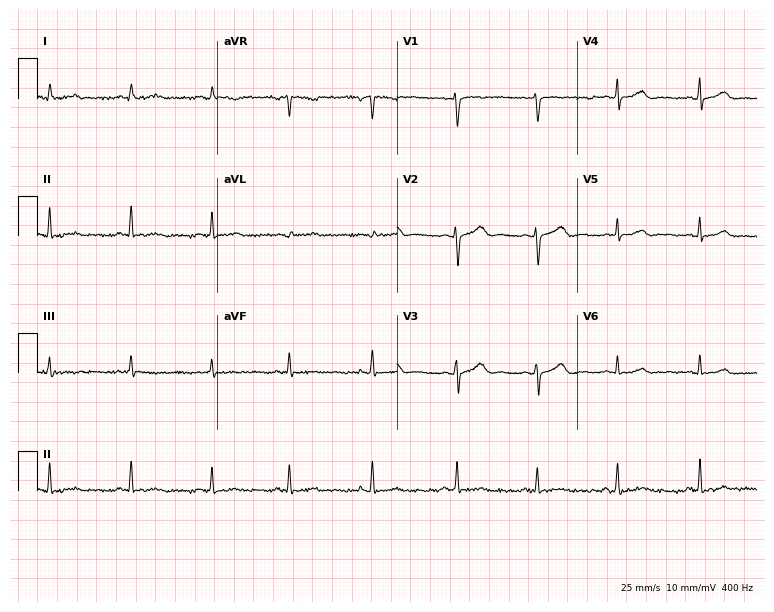
12-lead ECG from a female patient, 26 years old (7.3-second recording at 400 Hz). No first-degree AV block, right bundle branch block, left bundle branch block, sinus bradycardia, atrial fibrillation or sinus tachycardia recorded for this tracing.